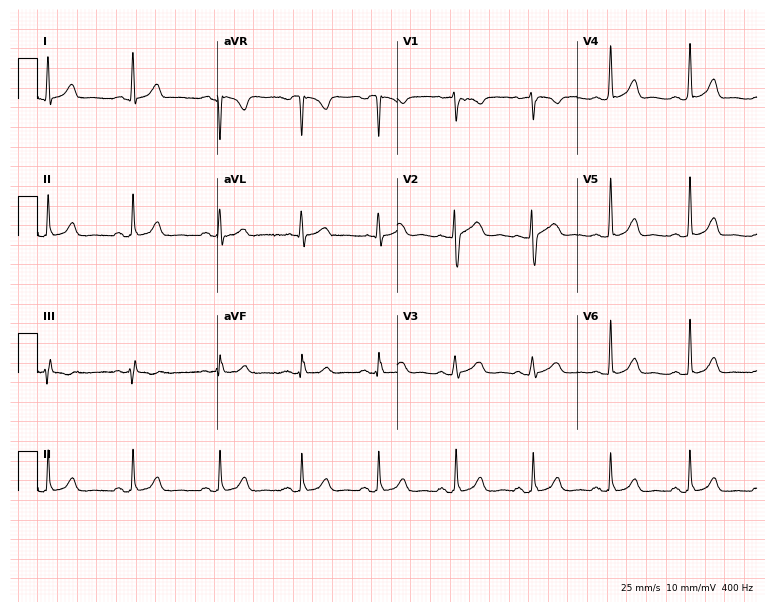
Standard 12-lead ECG recorded from a 33-year-old woman. None of these six findings is recorded: first-degree AV block, right bundle branch block (RBBB), left bundle branch block (LBBB), sinus bradycardia, atrial fibrillation (AF), sinus tachycardia.